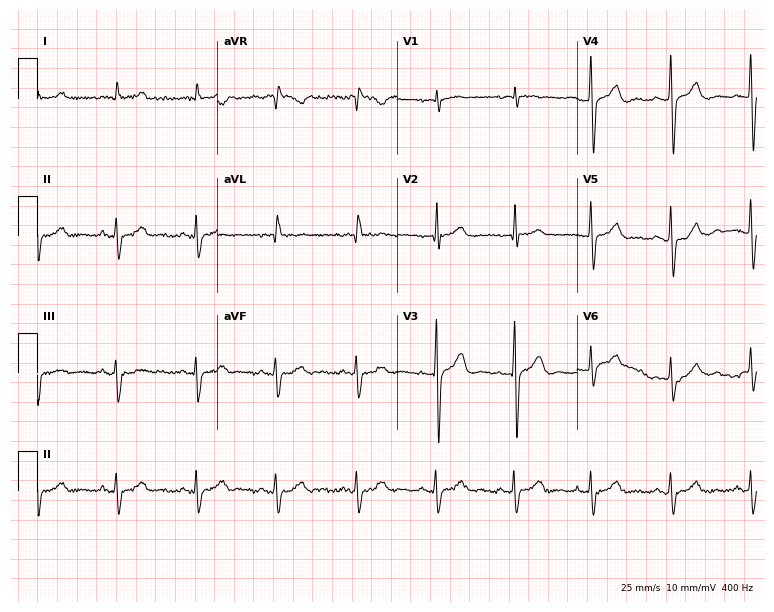
Standard 12-lead ECG recorded from a man, 84 years old (7.3-second recording at 400 Hz). Read as a normal ECG.